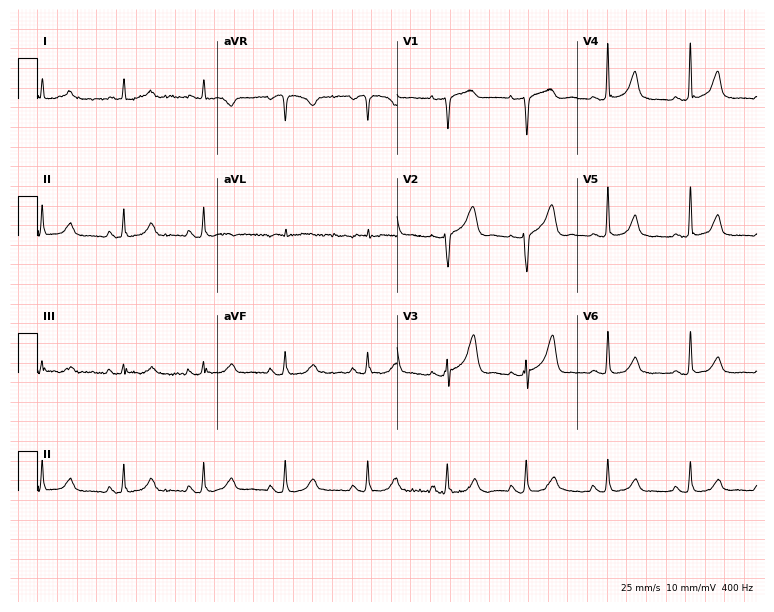
Electrocardiogram, a woman, 78 years old. Of the six screened findings (first-degree AV block, right bundle branch block (RBBB), left bundle branch block (LBBB), sinus bradycardia, atrial fibrillation (AF), sinus tachycardia), none is recorded.